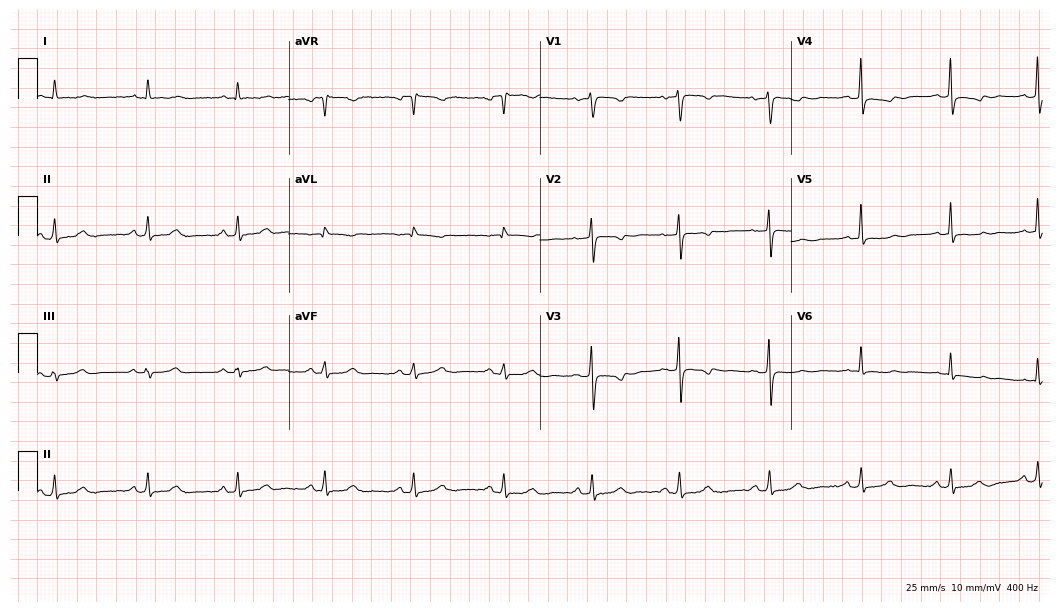
Standard 12-lead ECG recorded from a 55-year-old female patient. None of these six findings is recorded: first-degree AV block, right bundle branch block, left bundle branch block, sinus bradycardia, atrial fibrillation, sinus tachycardia. Other findings, if any, are not listed.